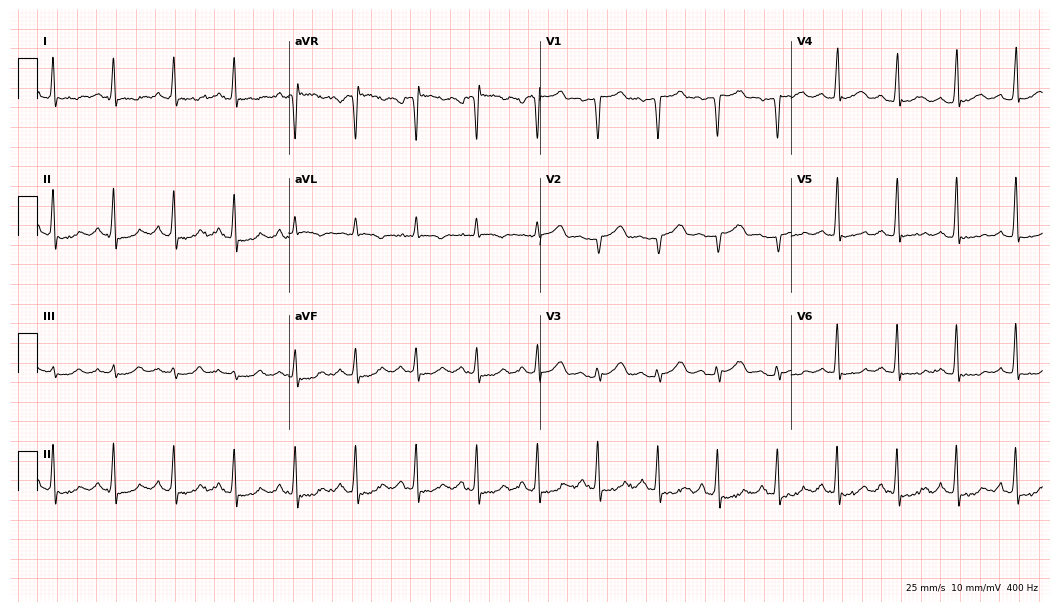
12-lead ECG from a female patient, 17 years old. No first-degree AV block, right bundle branch block, left bundle branch block, sinus bradycardia, atrial fibrillation or sinus tachycardia recorded for this tracing.